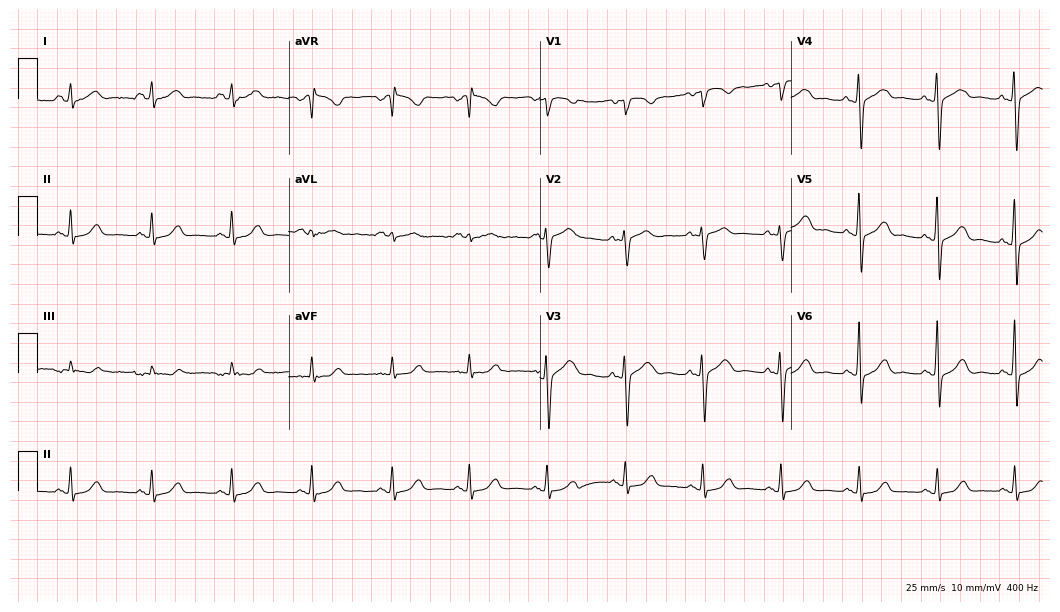
12-lead ECG from a woman, 53 years old (10.2-second recording at 400 Hz). No first-degree AV block, right bundle branch block, left bundle branch block, sinus bradycardia, atrial fibrillation or sinus tachycardia recorded for this tracing.